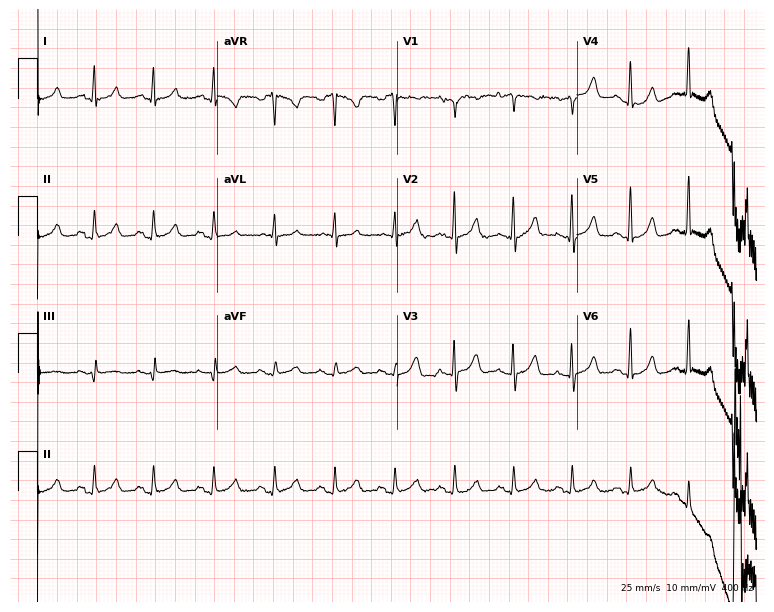
ECG (7.3-second recording at 400 Hz) — a female, 58 years old. Screened for six findings — first-degree AV block, right bundle branch block, left bundle branch block, sinus bradycardia, atrial fibrillation, sinus tachycardia — none is recorded.